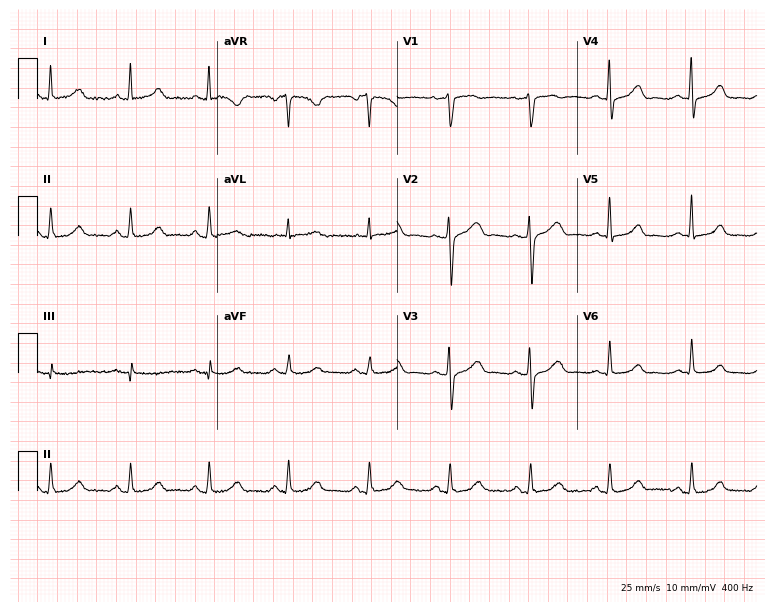
12-lead ECG from a 45-year-old female patient. Labelled as a normal ECG.